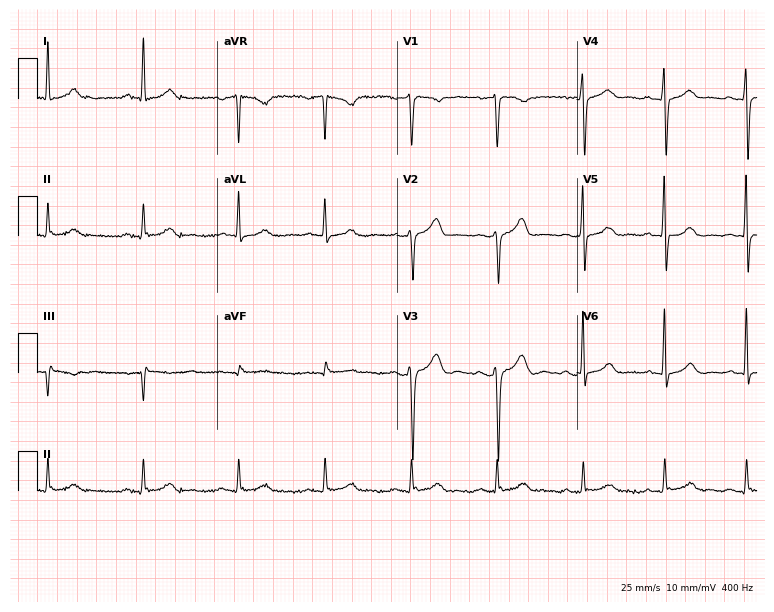
Electrocardiogram (7.3-second recording at 400 Hz), a male patient, 51 years old. Of the six screened findings (first-degree AV block, right bundle branch block, left bundle branch block, sinus bradycardia, atrial fibrillation, sinus tachycardia), none is recorded. Only these six findings were labelled.